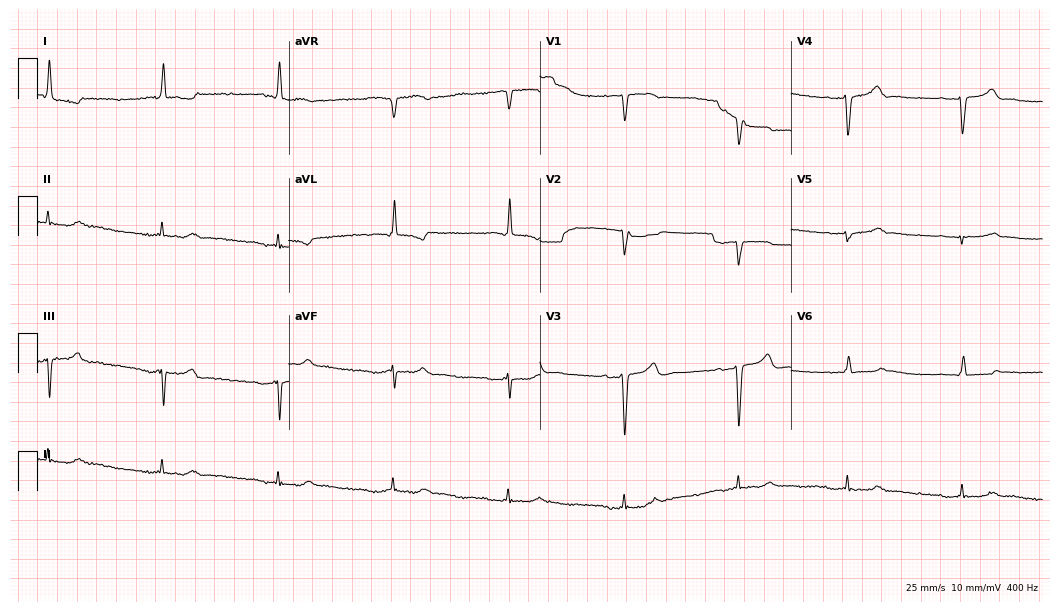
ECG (10.2-second recording at 400 Hz) — a 64-year-old woman. Screened for six findings — first-degree AV block, right bundle branch block (RBBB), left bundle branch block (LBBB), sinus bradycardia, atrial fibrillation (AF), sinus tachycardia — none is recorded.